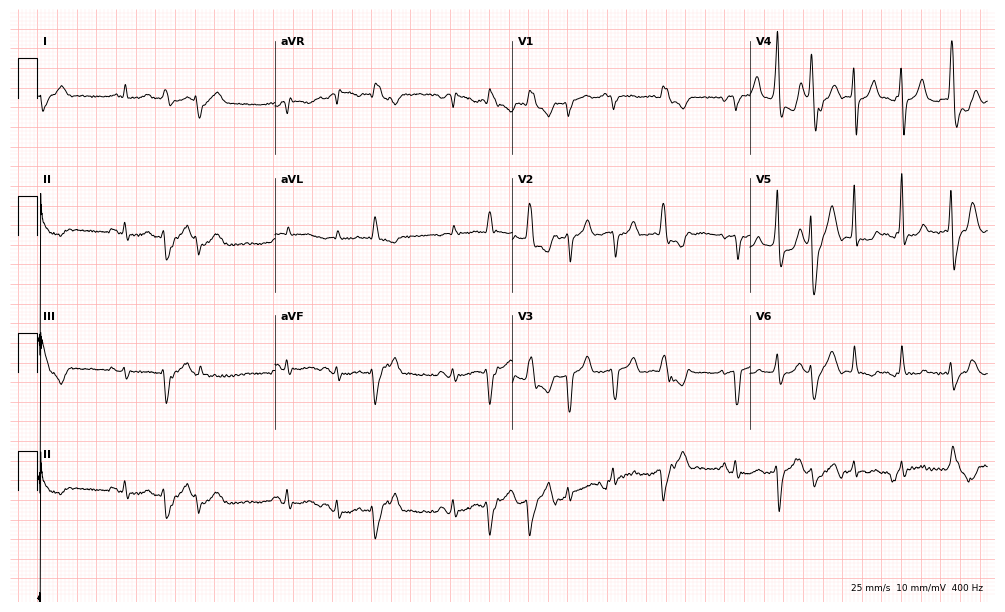
Resting 12-lead electrocardiogram (9.7-second recording at 400 Hz). Patient: a male, 82 years old. None of these six findings is recorded: first-degree AV block, right bundle branch block, left bundle branch block, sinus bradycardia, atrial fibrillation, sinus tachycardia. Findings outside these six are not listed.